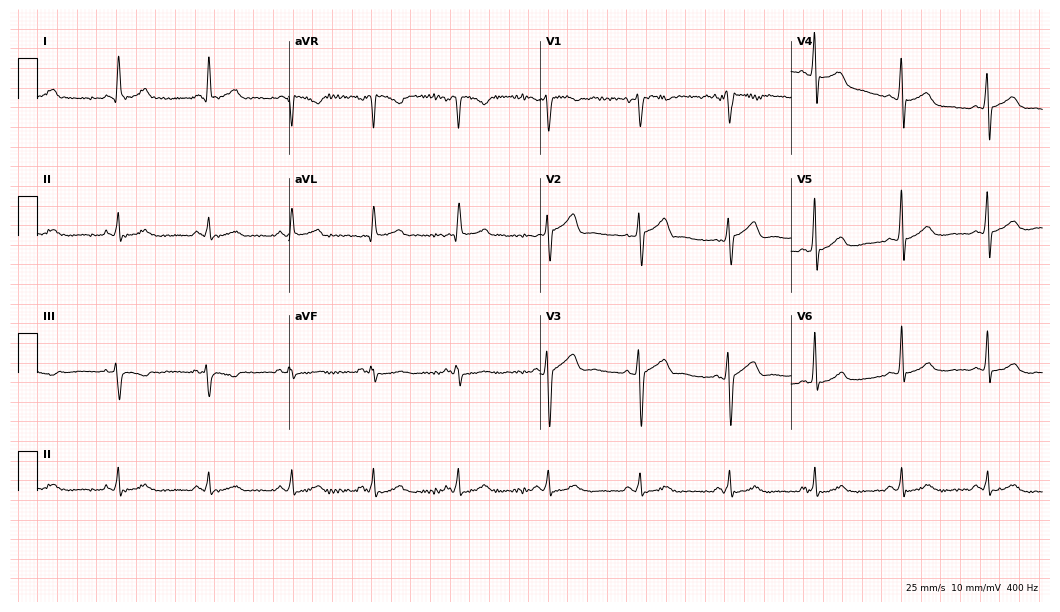
ECG (10.2-second recording at 400 Hz) — a 49-year-old male patient. Labelled as a normal ECG.